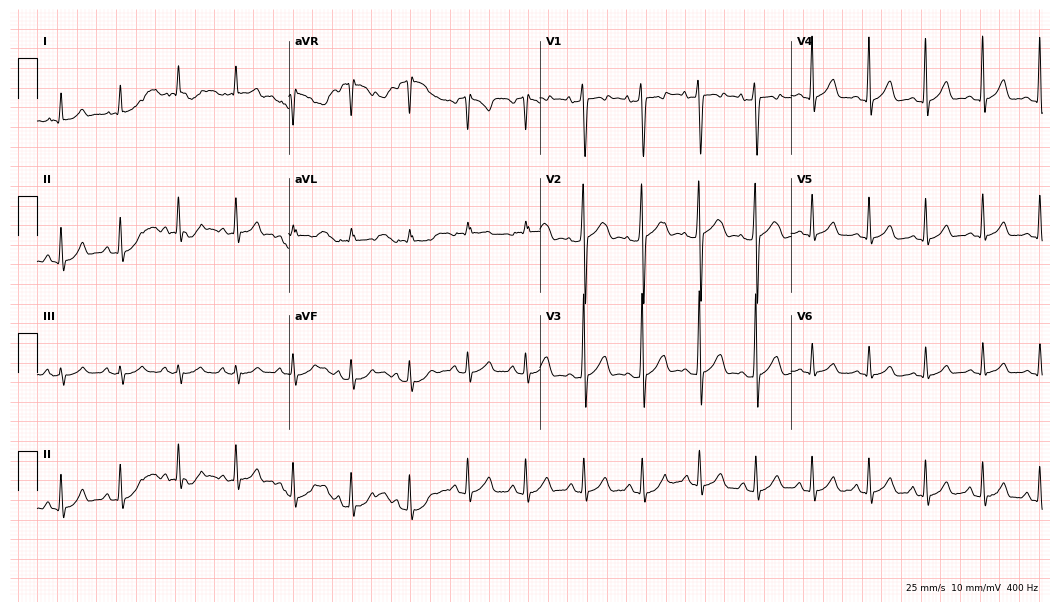
Standard 12-lead ECG recorded from a 23-year-old male. Read as a normal ECG.